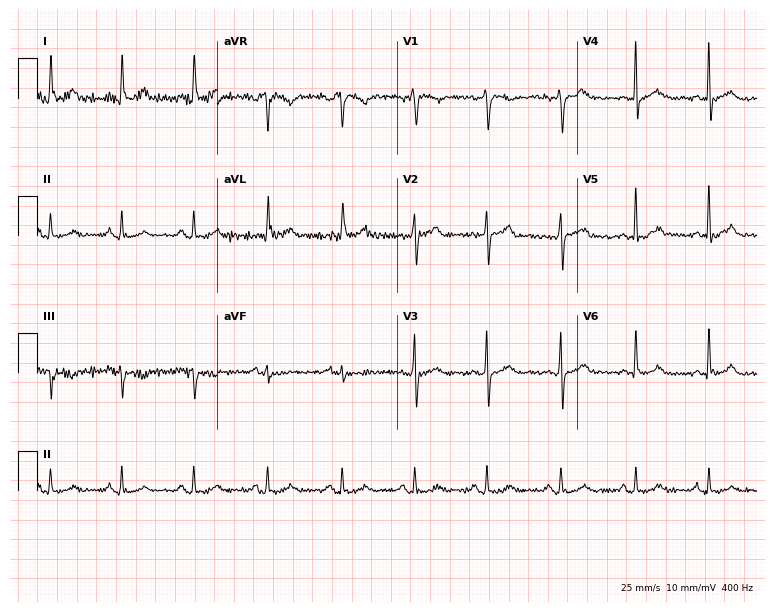
12-lead ECG (7.3-second recording at 400 Hz) from a female, 49 years old. Labelled as a normal ECG.